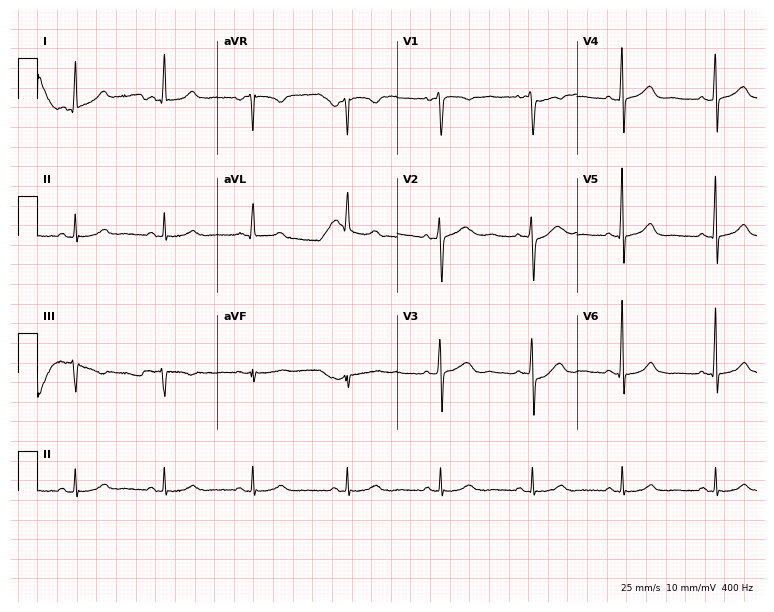
12-lead ECG (7.3-second recording at 400 Hz) from a female, 49 years old. Screened for six findings — first-degree AV block, right bundle branch block, left bundle branch block, sinus bradycardia, atrial fibrillation, sinus tachycardia — none is recorded.